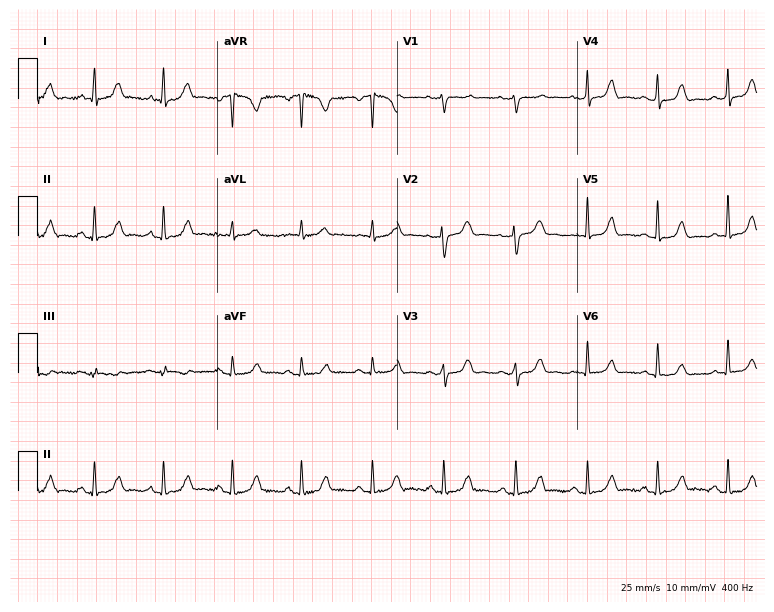
Resting 12-lead electrocardiogram. Patient: a female, 60 years old. Read as a normal ECG.